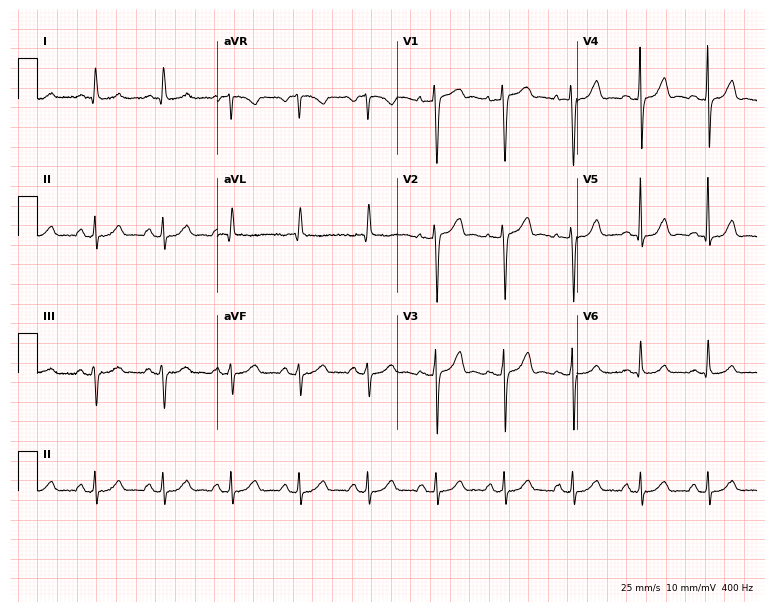
Standard 12-lead ECG recorded from a female patient, 60 years old (7.3-second recording at 400 Hz). None of these six findings is recorded: first-degree AV block, right bundle branch block, left bundle branch block, sinus bradycardia, atrial fibrillation, sinus tachycardia.